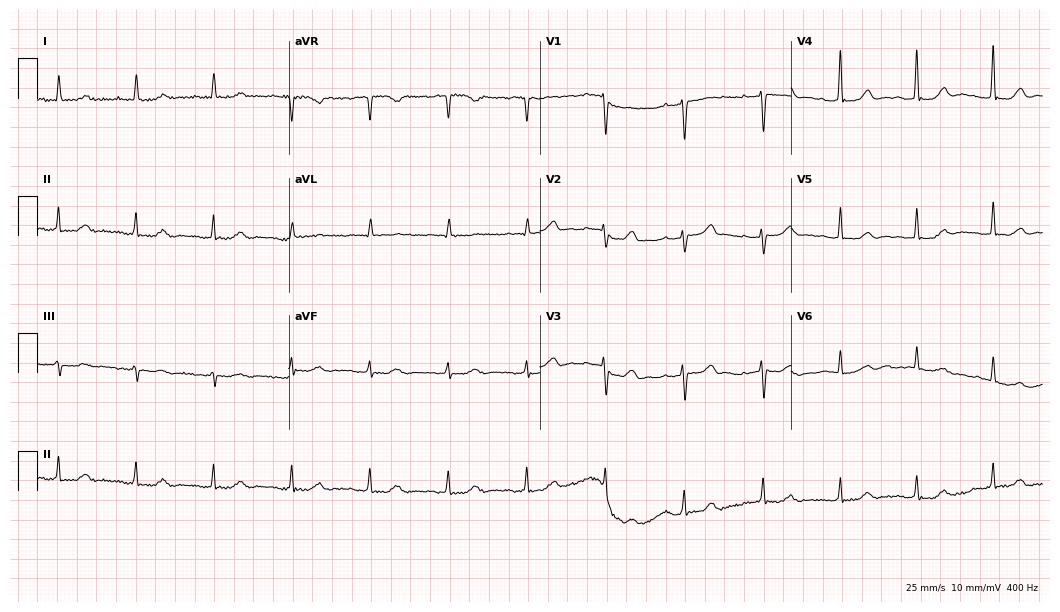
Electrocardiogram, a male, 86 years old. Overall reading on record: normal ECG.